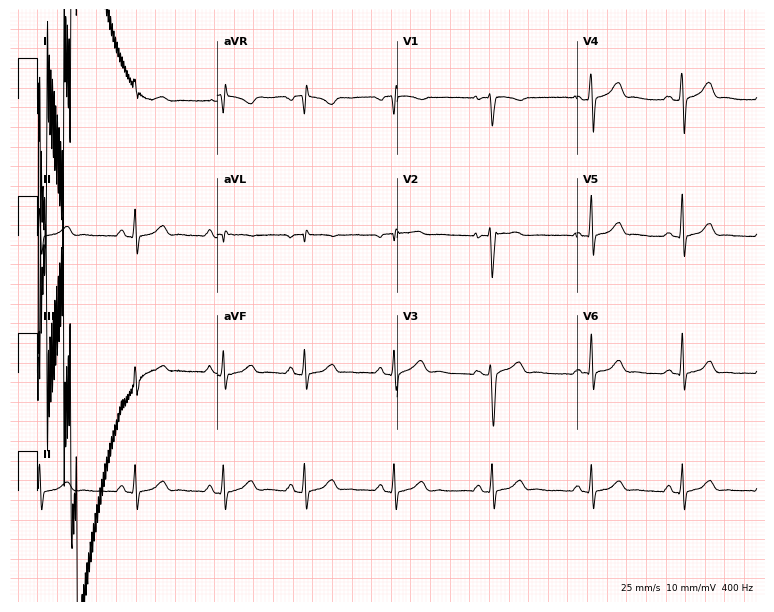
Standard 12-lead ECG recorded from a man, 28 years old (7.3-second recording at 400 Hz). None of these six findings is recorded: first-degree AV block, right bundle branch block (RBBB), left bundle branch block (LBBB), sinus bradycardia, atrial fibrillation (AF), sinus tachycardia.